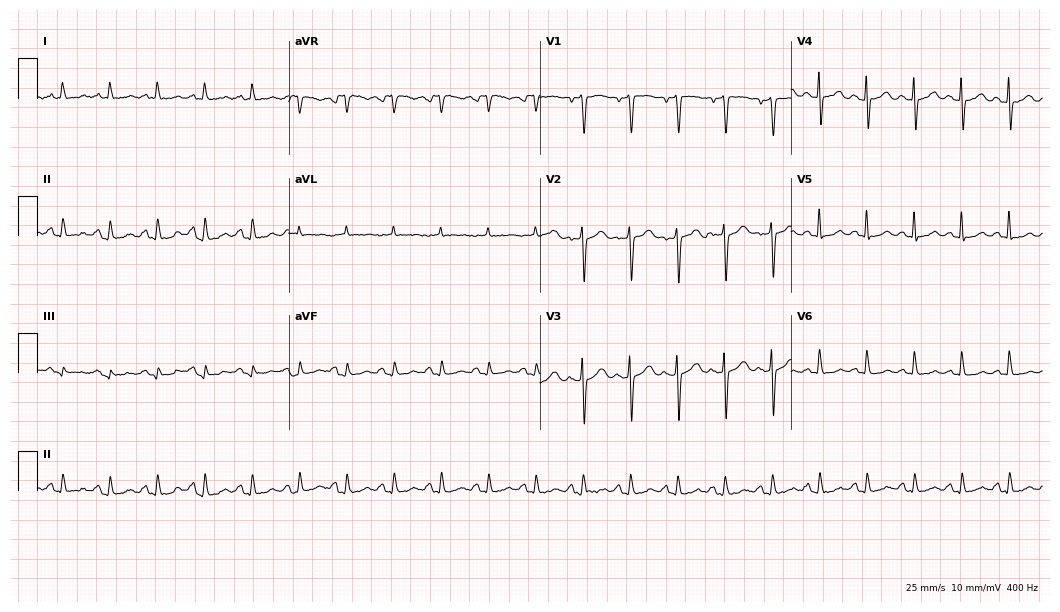
Resting 12-lead electrocardiogram (10.2-second recording at 400 Hz). Patient: a female, 67 years old. None of these six findings is recorded: first-degree AV block, right bundle branch block, left bundle branch block, sinus bradycardia, atrial fibrillation, sinus tachycardia.